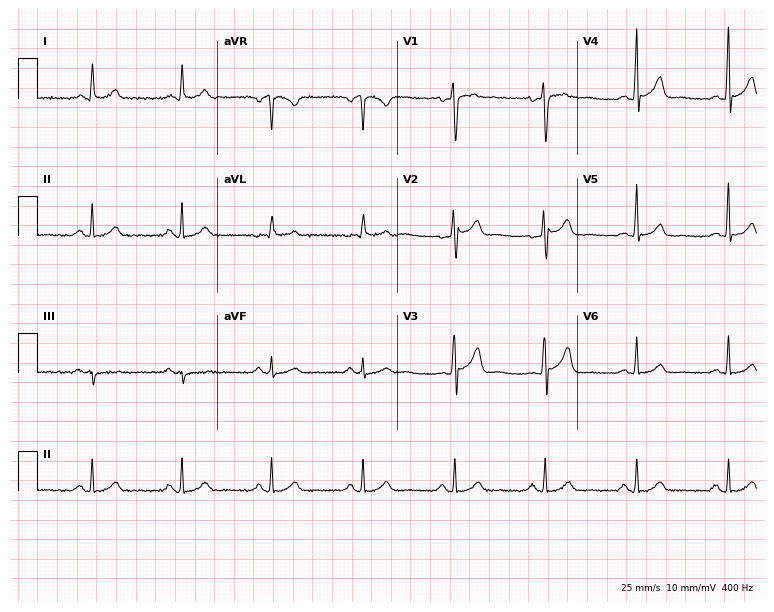
Resting 12-lead electrocardiogram (7.3-second recording at 400 Hz). Patient: a 40-year-old man. None of these six findings is recorded: first-degree AV block, right bundle branch block, left bundle branch block, sinus bradycardia, atrial fibrillation, sinus tachycardia. Other findings, if any, are not listed.